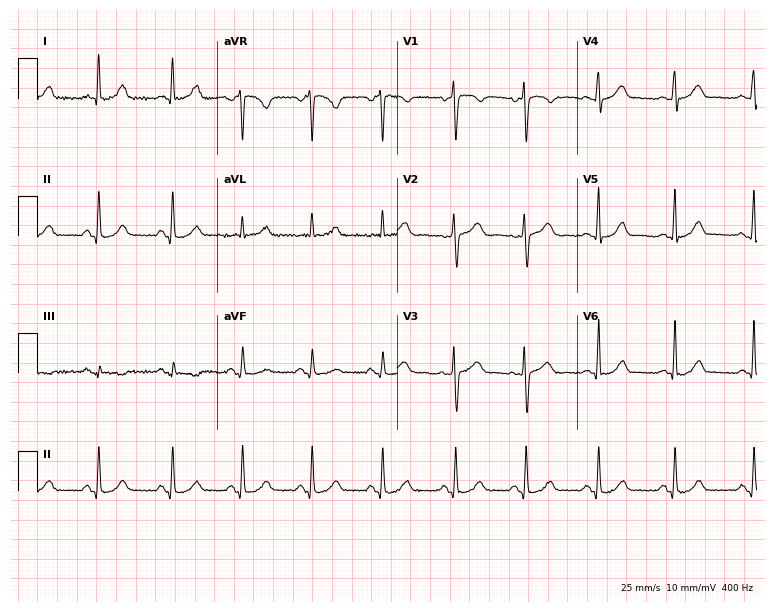
ECG (7.3-second recording at 400 Hz) — a 39-year-old woman. Labelled as a normal ECG.